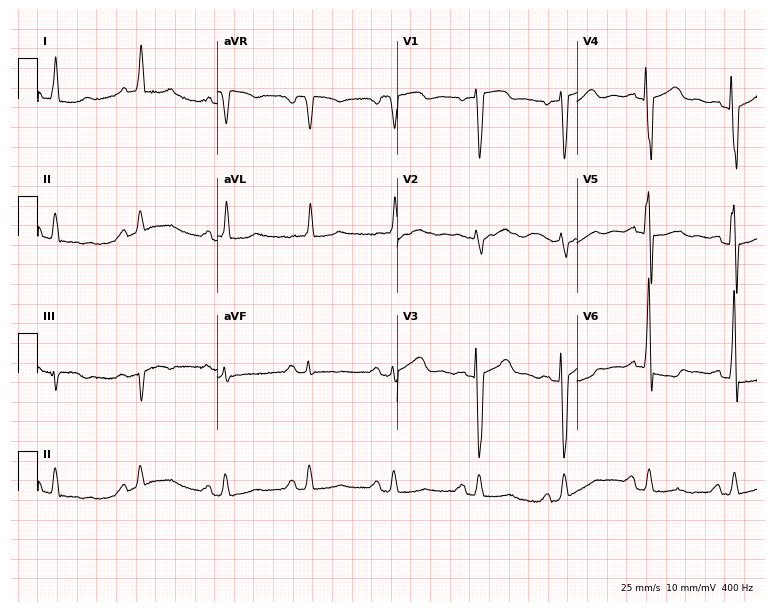
Resting 12-lead electrocardiogram (7.3-second recording at 400 Hz). Patient: a 75-year-old female. Read as a normal ECG.